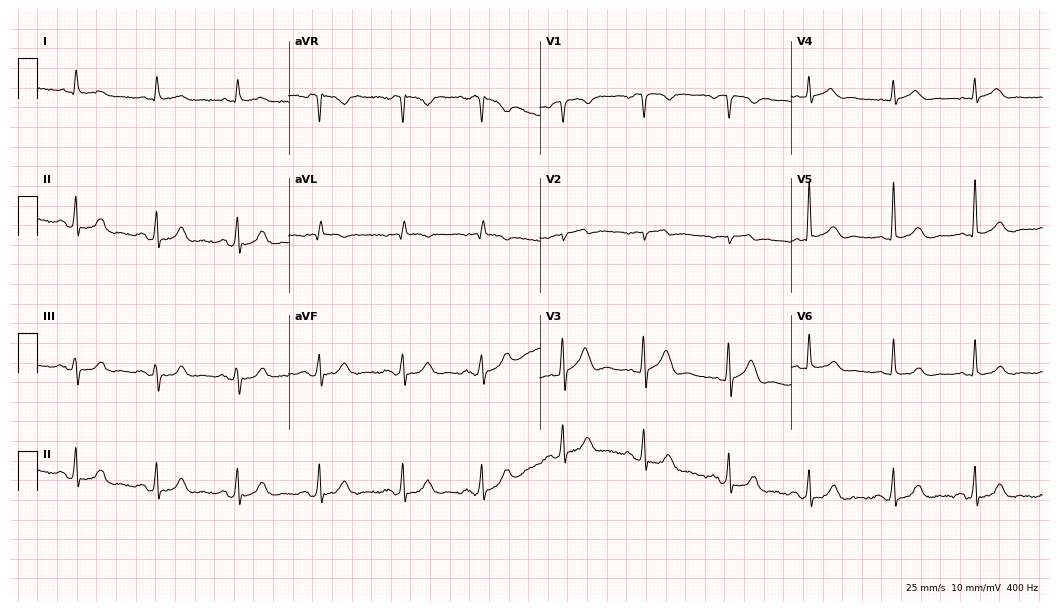
12-lead ECG (10.2-second recording at 400 Hz) from a man, 83 years old. Labelled as a normal ECG.